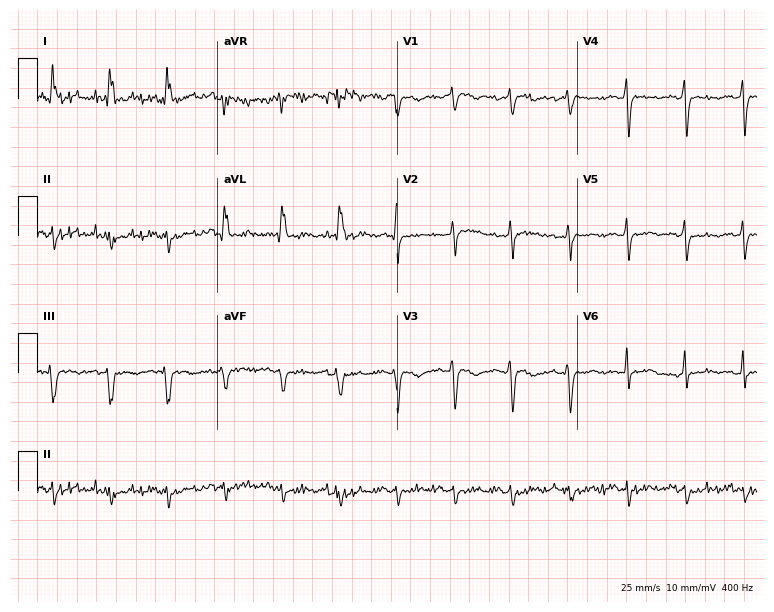
12-lead ECG from a 57-year-old female patient. Screened for six findings — first-degree AV block, right bundle branch block, left bundle branch block, sinus bradycardia, atrial fibrillation, sinus tachycardia — none is recorded.